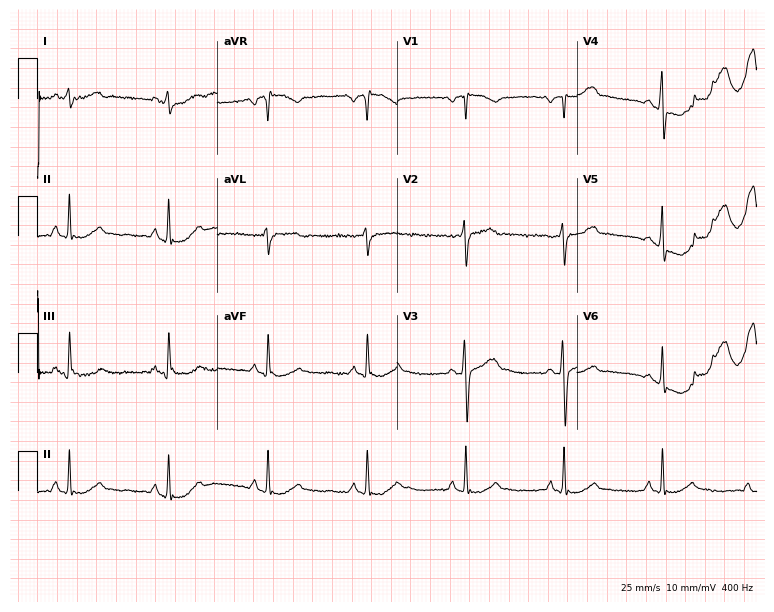
Electrocardiogram, a 50-year-old man. Of the six screened findings (first-degree AV block, right bundle branch block, left bundle branch block, sinus bradycardia, atrial fibrillation, sinus tachycardia), none is recorded. Findings outside these six are not listed.